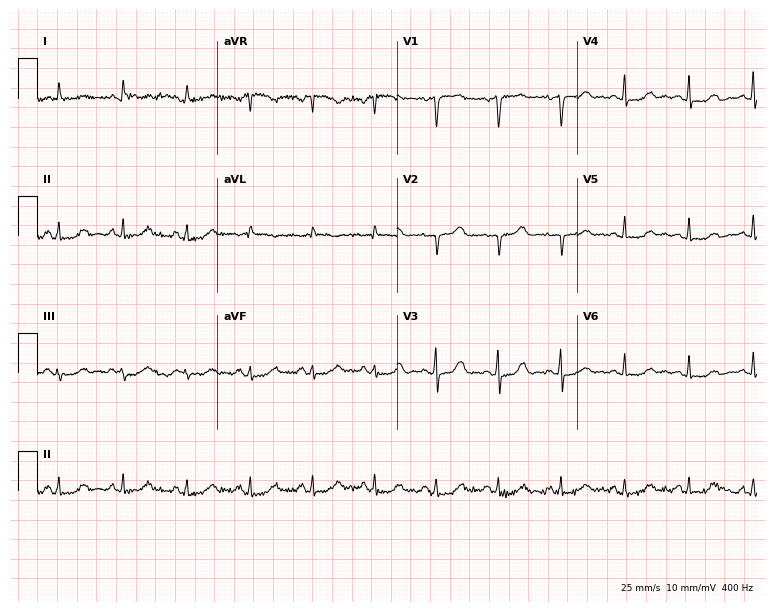
Resting 12-lead electrocardiogram. Patient: a 52-year-old female. Read as a normal ECG.